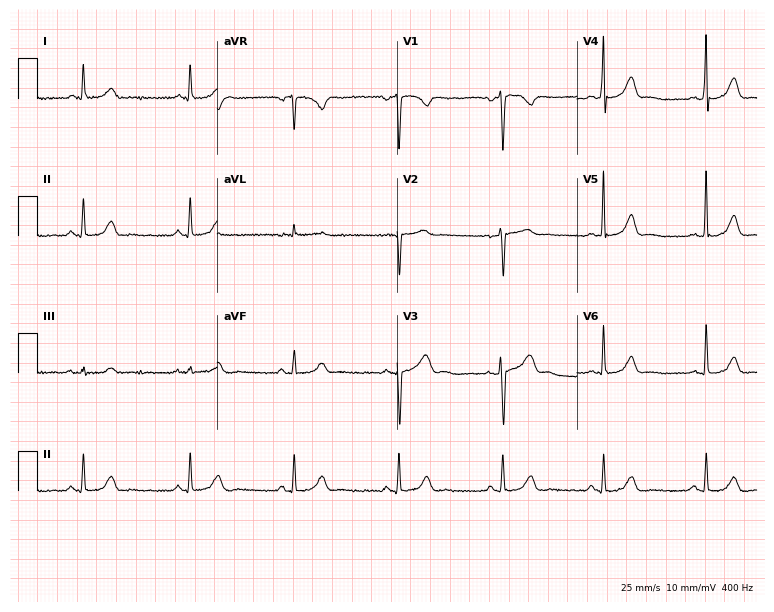
Standard 12-lead ECG recorded from a 52-year-old man. Read as a normal ECG.